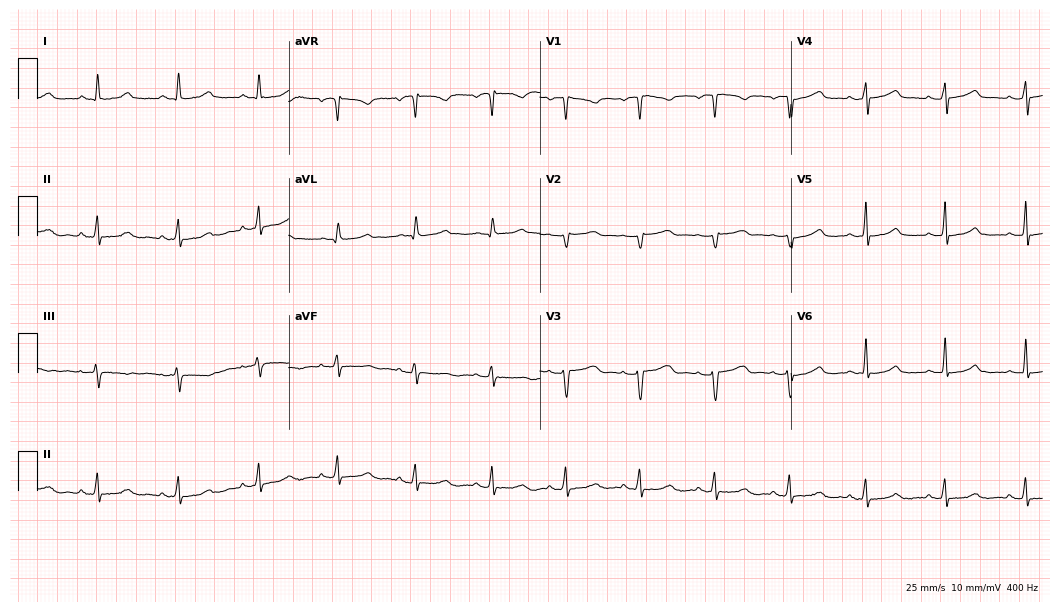
ECG (10.2-second recording at 400 Hz) — a 41-year-old female. Labelled as a normal ECG.